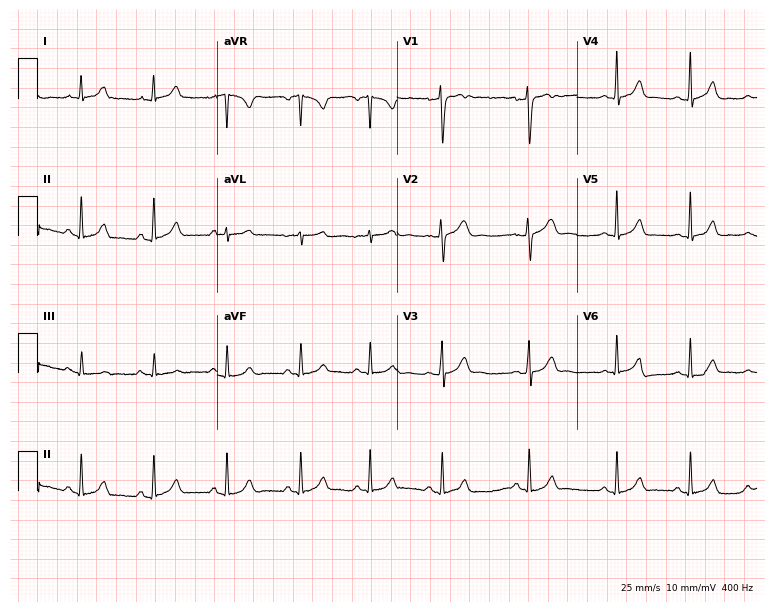
Standard 12-lead ECG recorded from a 21-year-old woman (7.3-second recording at 400 Hz). None of these six findings is recorded: first-degree AV block, right bundle branch block, left bundle branch block, sinus bradycardia, atrial fibrillation, sinus tachycardia. Only these six findings were labelled.